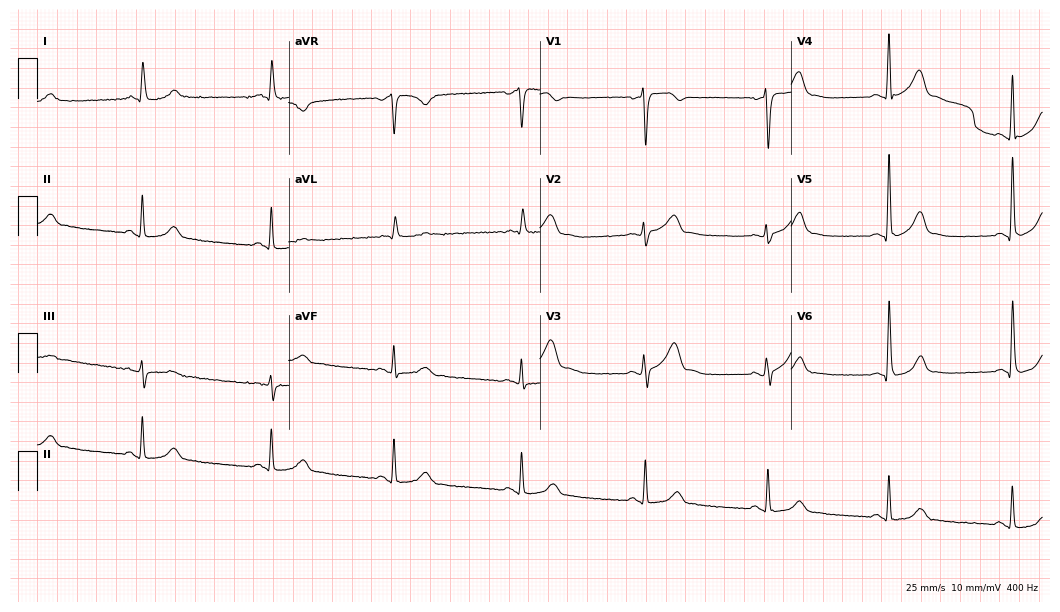
12-lead ECG from a male patient, 60 years old (10.2-second recording at 400 Hz). Recorded interpretation: within normal limits.